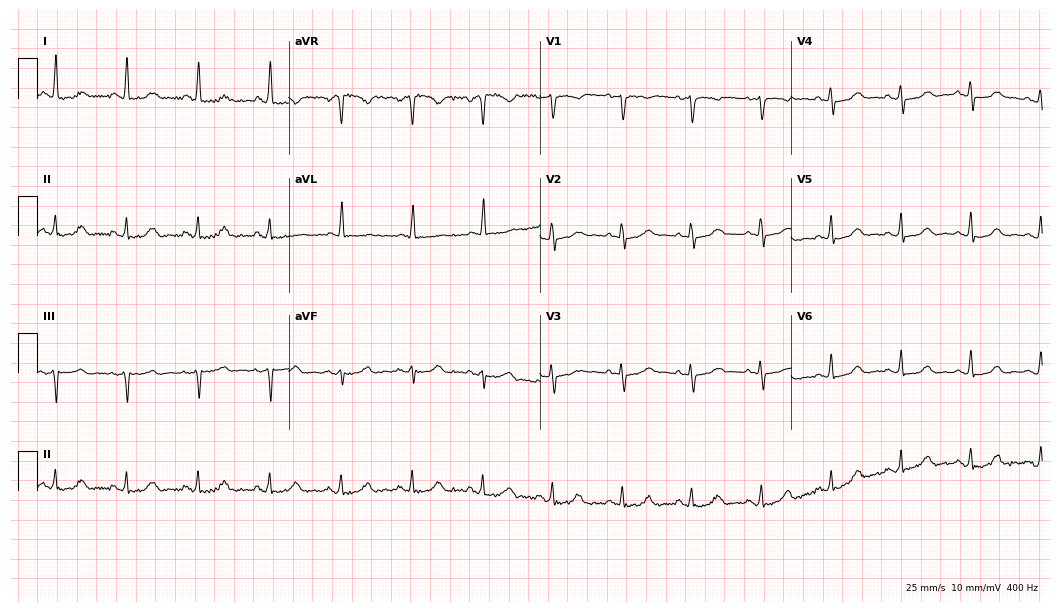
12-lead ECG (10.2-second recording at 400 Hz) from a 56-year-old woman. Labelled as a normal ECG.